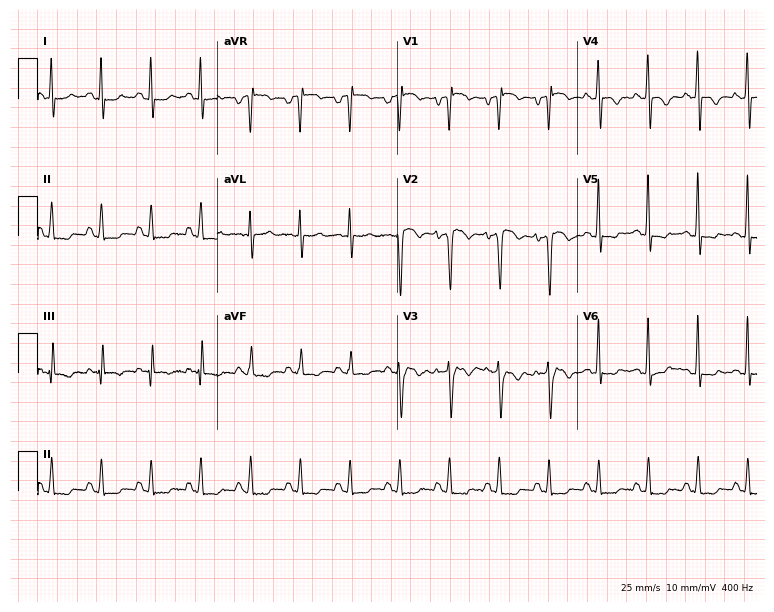
12-lead ECG (7.3-second recording at 400 Hz) from a male, 64 years old. Screened for six findings — first-degree AV block, right bundle branch block (RBBB), left bundle branch block (LBBB), sinus bradycardia, atrial fibrillation (AF), sinus tachycardia — none is recorded. Findings outside these six are not listed.